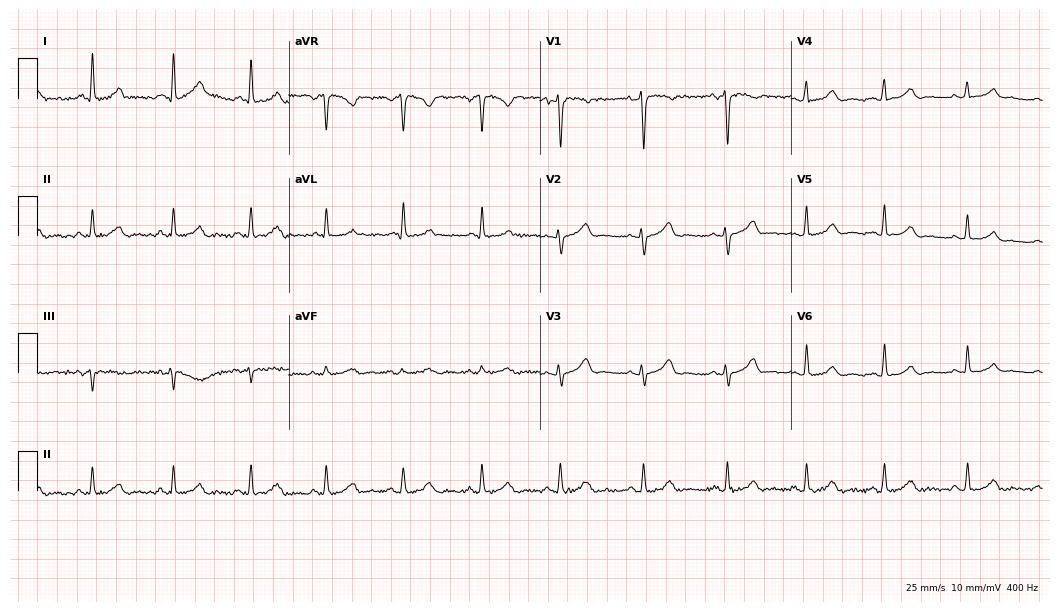
Electrocardiogram, a woman, 35 years old. Overall reading on record: normal ECG.